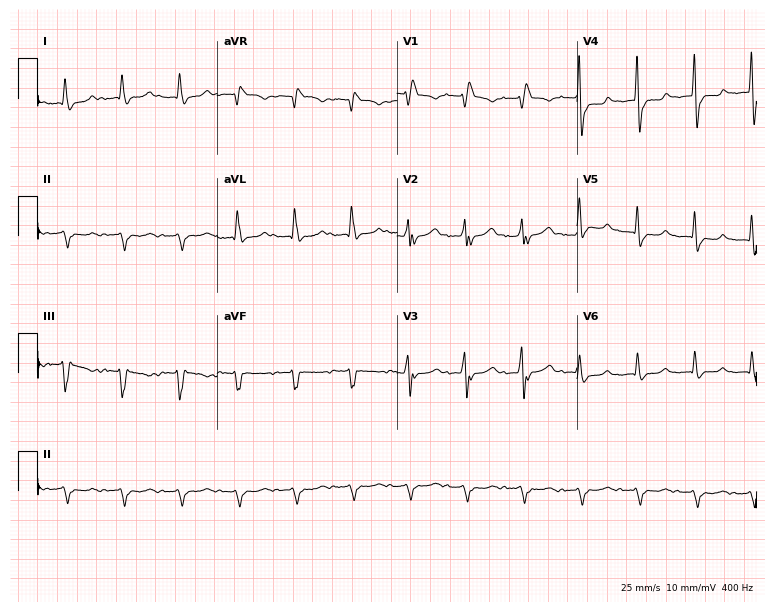
12-lead ECG from a female patient, 72 years old. Shows right bundle branch block.